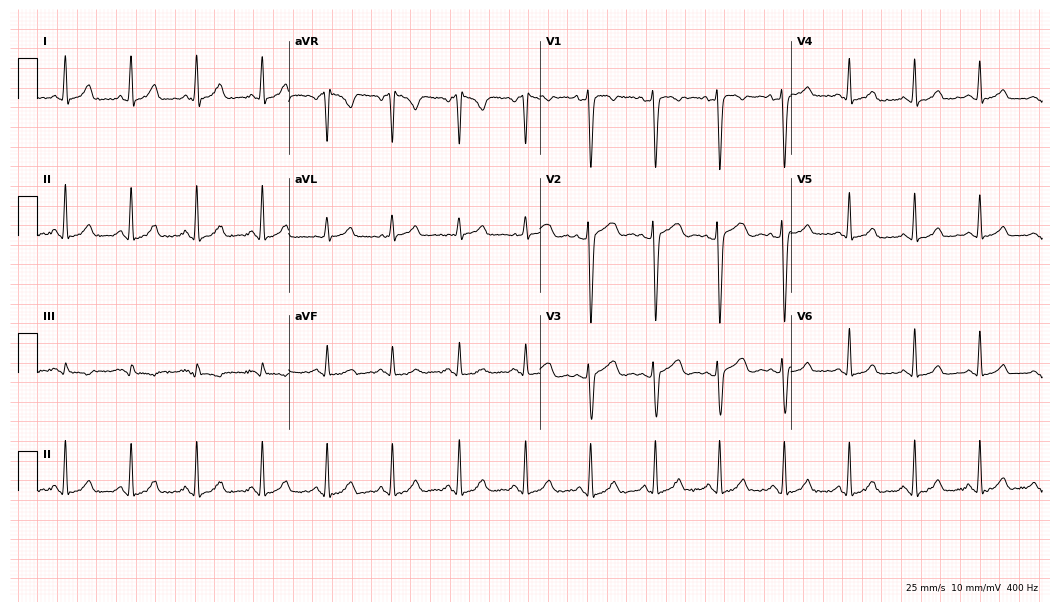
ECG (10.2-second recording at 400 Hz) — a 40-year-old female. Labelled as a normal ECG.